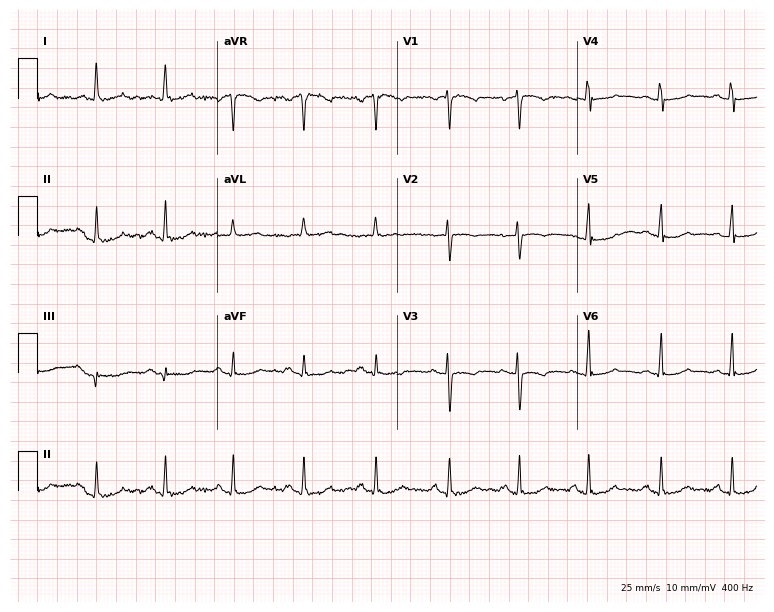
Resting 12-lead electrocardiogram. Patient: a 44-year-old woman. None of these six findings is recorded: first-degree AV block, right bundle branch block (RBBB), left bundle branch block (LBBB), sinus bradycardia, atrial fibrillation (AF), sinus tachycardia. Findings outside these six are not listed.